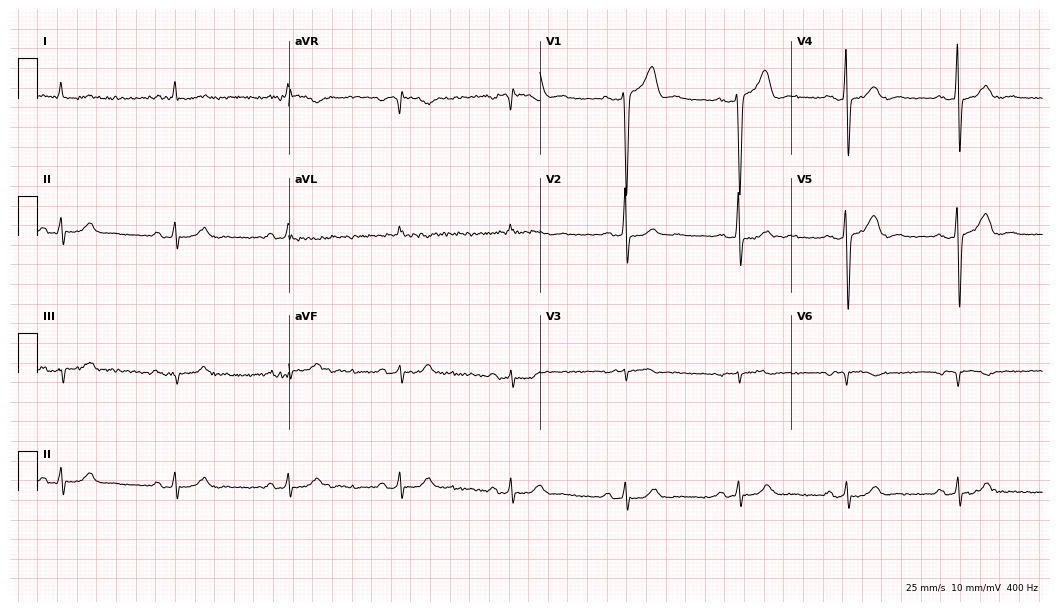
12-lead ECG from a 78-year-old man. No first-degree AV block, right bundle branch block (RBBB), left bundle branch block (LBBB), sinus bradycardia, atrial fibrillation (AF) or sinus tachycardia recorded for this tracing. Other findings, if any, are not listed.